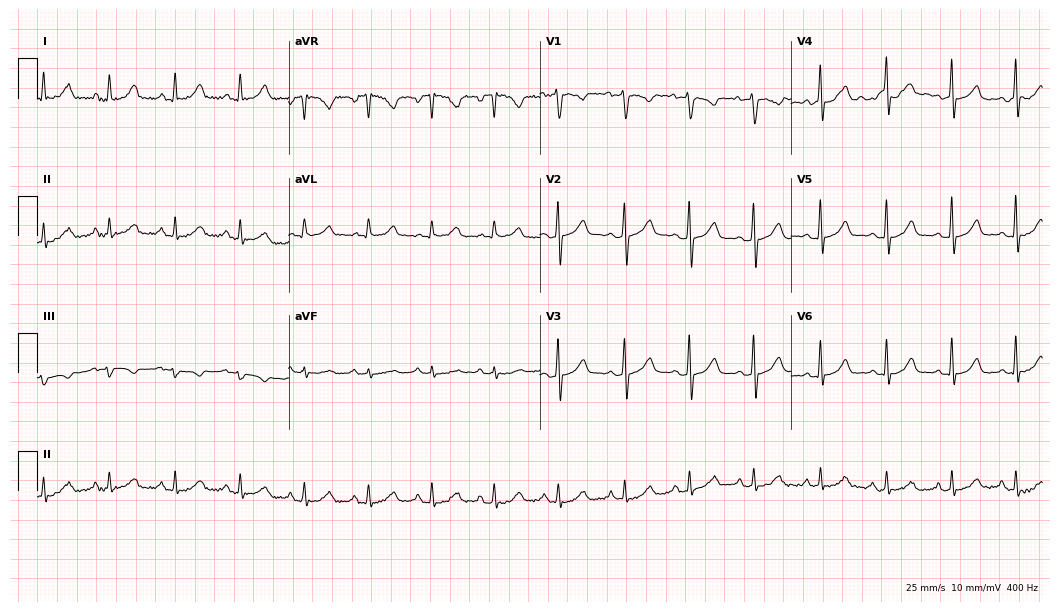
Electrocardiogram, a female patient, 30 years old. Overall reading on record: normal ECG.